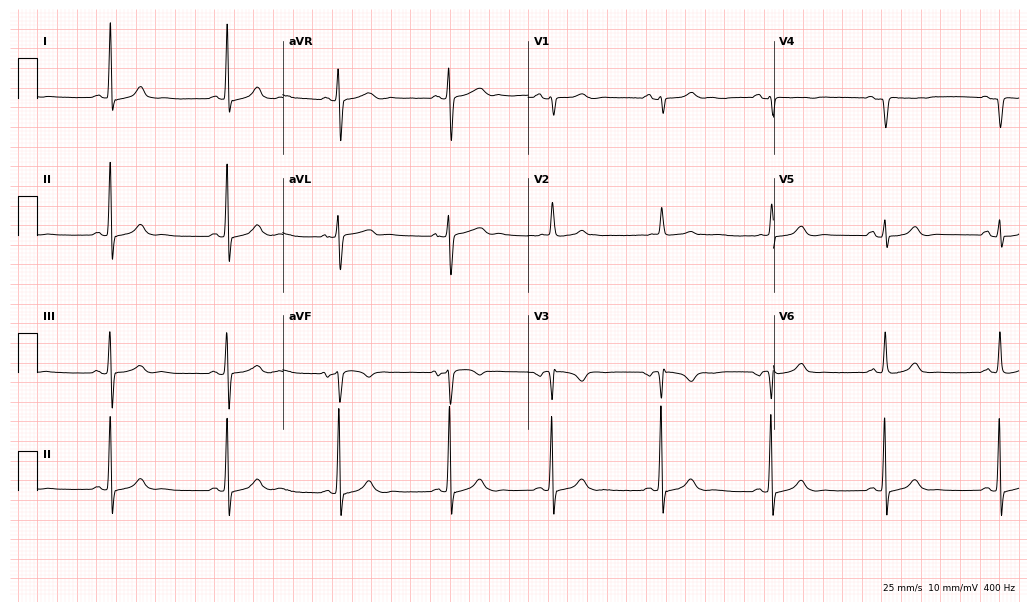
Resting 12-lead electrocardiogram (10-second recording at 400 Hz). Patient: a male, 71 years old. None of these six findings is recorded: first-degree AV block, right bundle branch block, left bundle branch block, sinus bradycardia, atrial fibrillation, sinus tachycardia.